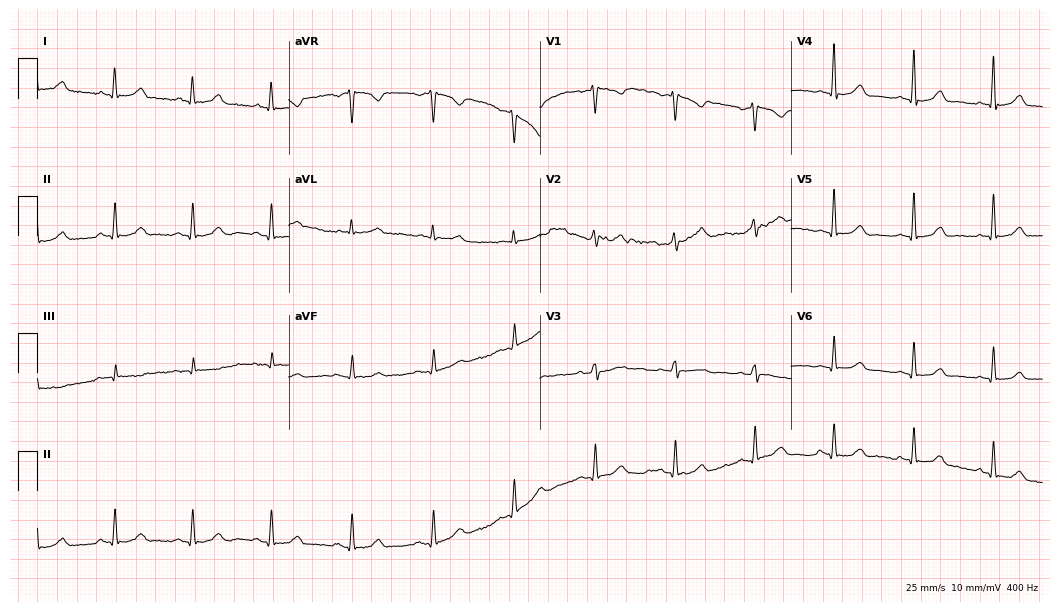
Resting 12-lead electrocardiogram. Patient: a 51-year-old female. Read as a normal ECG.